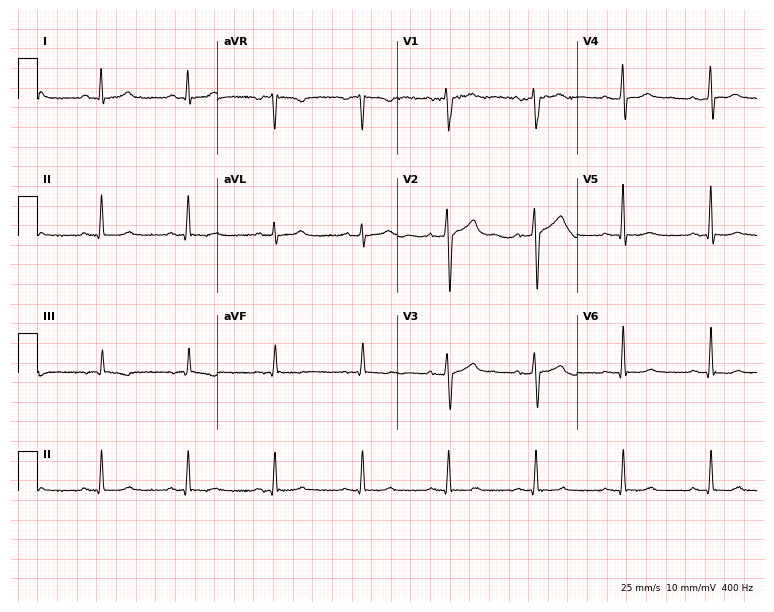
12-lead ECG from a male, 41 years old. No first-degree AV block, right bundle branch block (RBBB), left bundle branch block (LBBB), sinus bradycardia, atrial fibrillation (AF) or sinus tachycardia recorded for this tracing.